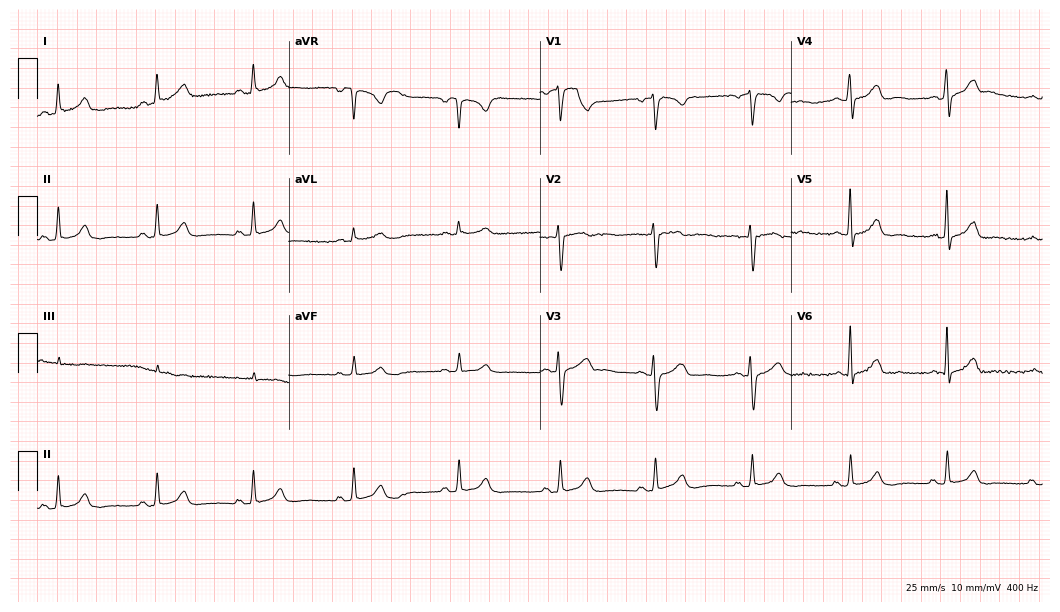
Standard 12-lead ECG recorded from a female, 52 years old. Read as a normal ECG.